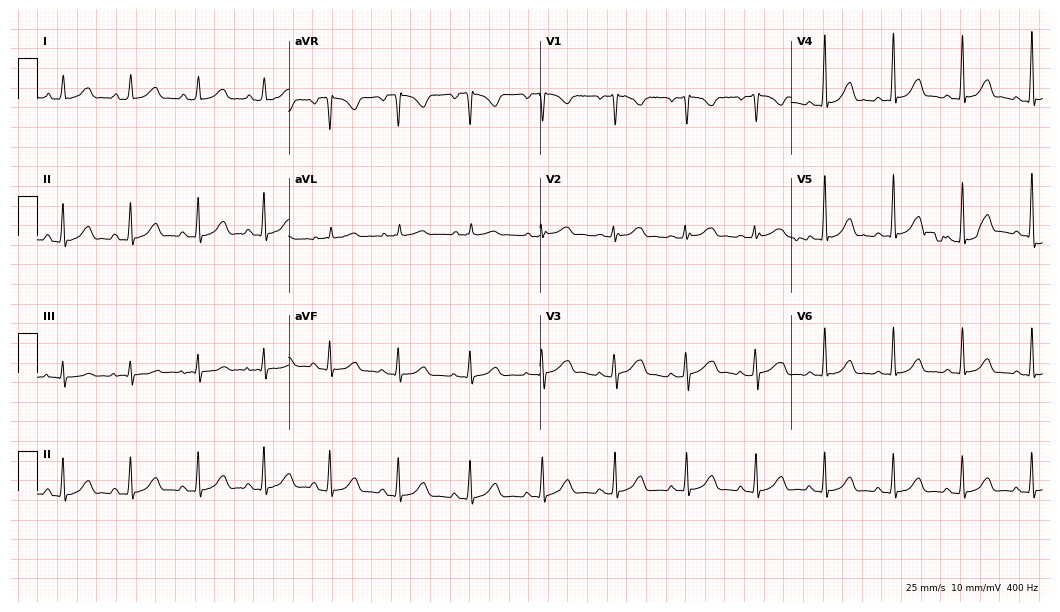
12-lead ECG from a 31-year-old woman. No first-degree AV block, right bundle branch block, left bundle branch block, sinus bradycardia, atrial fibrillation or sinus tachycardia recorded for this tracing. Only these six findings were labelled.